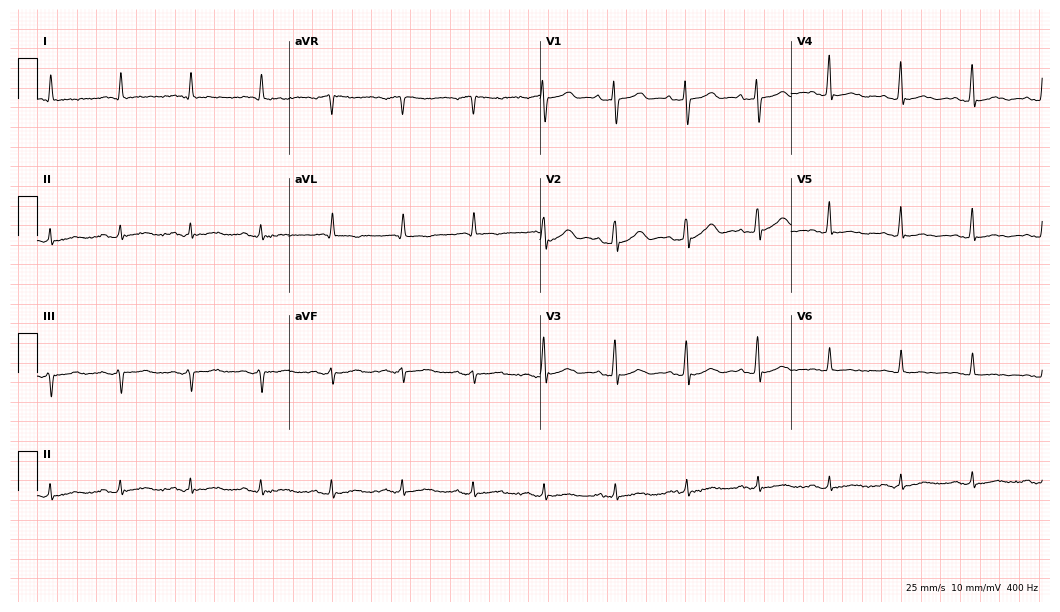
Electrocardiogram, an 81-year-old female. Of the six screened findings (first-degree AV block, right bundle branch block (RBBB), left bundle branch block (LBBB), sinus bradycardia, atrial fibrillation (AF), sinus tachycardia), none is recorded.